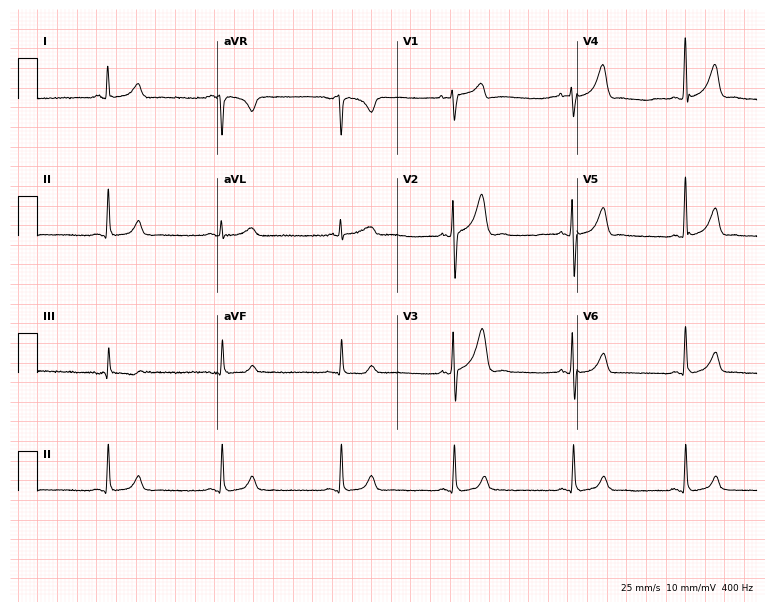
ECG — a 39-year-old man. Screened for six findings — first-degree AV block, right bundle branch block, left bundle branch block, sinus bradycardia, atrial fibrillation, sinus tachycardia — none is recorded. Only these six findings were labelled.